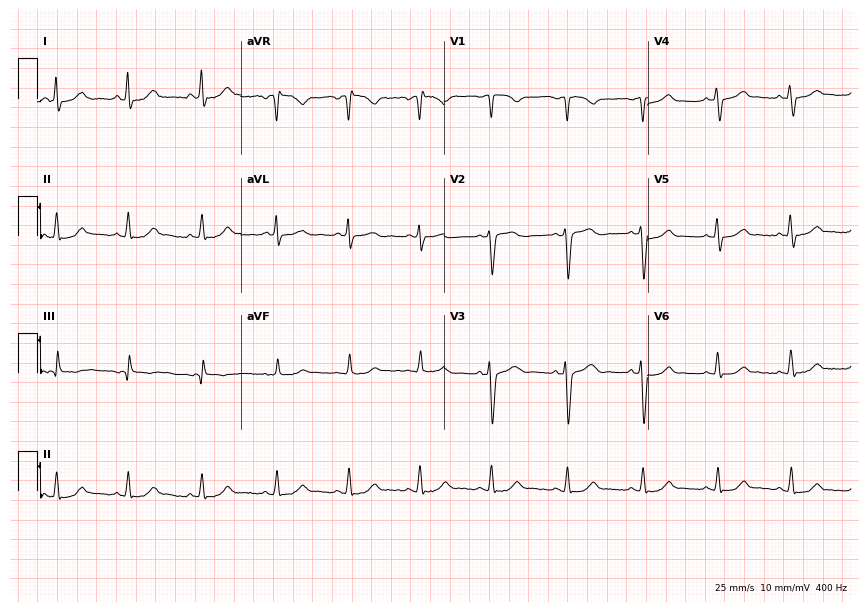
12-lead ECG from a 60-year-old male patient. Labelled as a normal ECG.